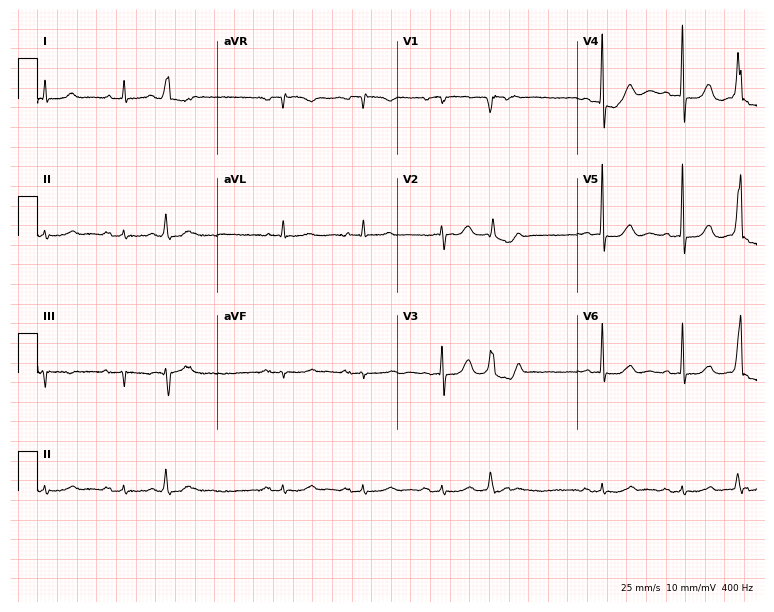
12-lead ECG from an 86-year-old male patient (7.3-second recording at 400 Hz). No first-degree AV block, right bundle branch block (RBBB), left bundle branch block (LBBB), sinus bradycardia, atrial fibrillation (AF) or sinus tachycardia recorded for this tracing. Other findings, if any, are not listed.